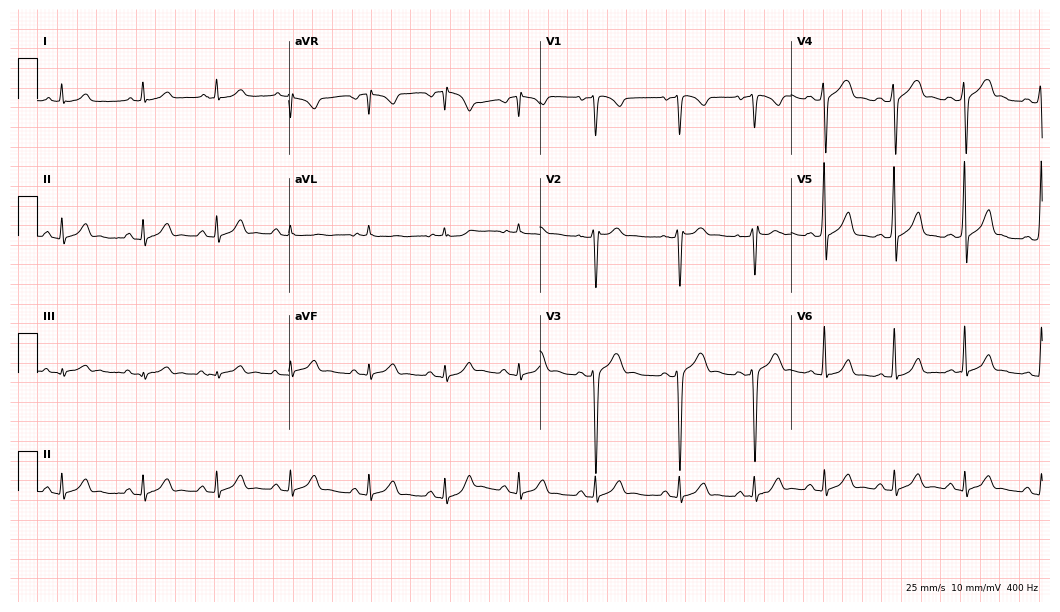
Electrocardiogram (10.2-second recording at 400 Hz), a 24-year-old male patient. Of the six screened findings (first-degree AV block, right bundle branch block, left bundle branch block, sinus bradycardia, atrial fibrillation, sinus tachycardia), none is recorded.